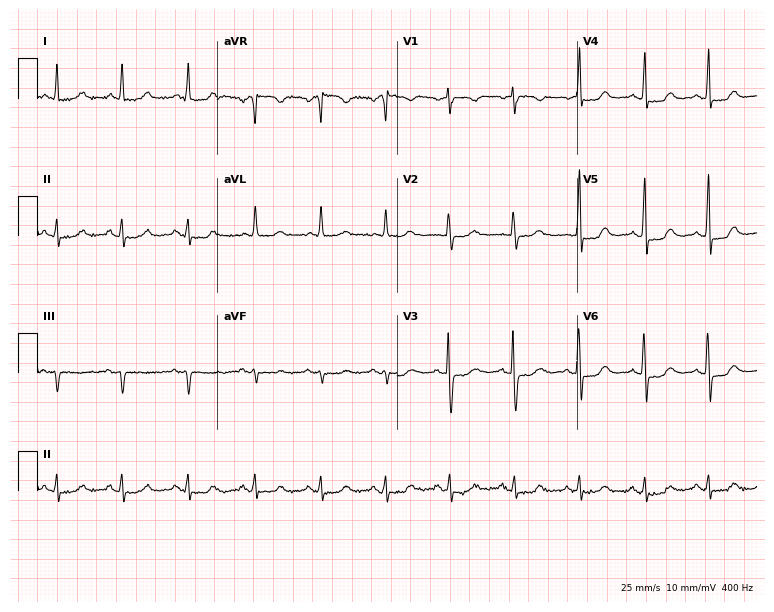
Electrocardiogram (7.3-second recording at 400 Hz), a 68-year-old female patient. Overall reading on record: normal ECG.